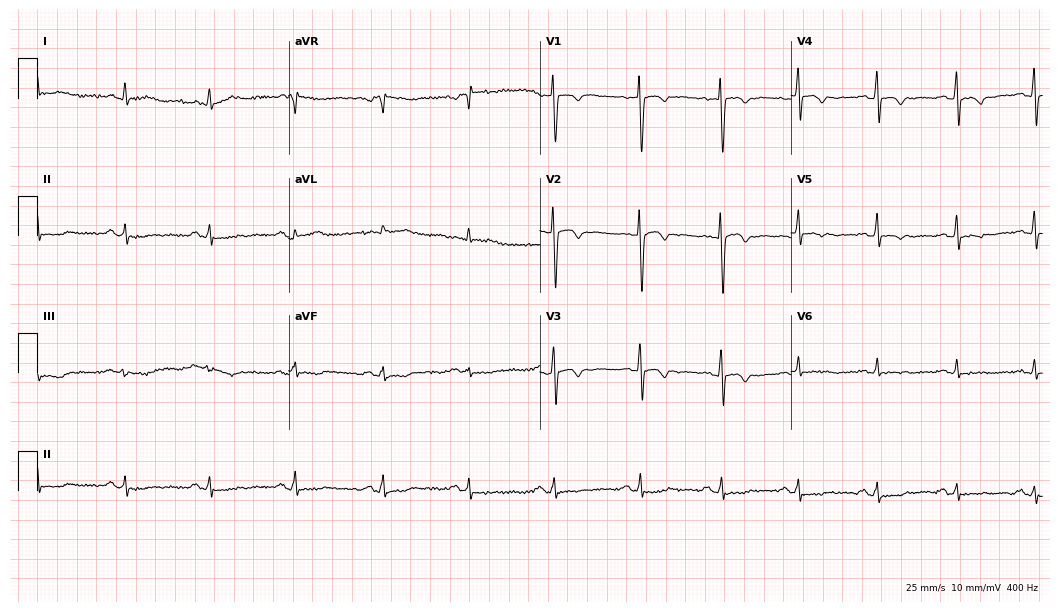
Resting 12-lead electrocardiogram. Patient: a 58-year-old man. None of these six findings is recorded: first-degree AV block, right bundle branch block, left bundle branch block, sinus bradycardia, atrial fibrillation, sinus tachycardia.